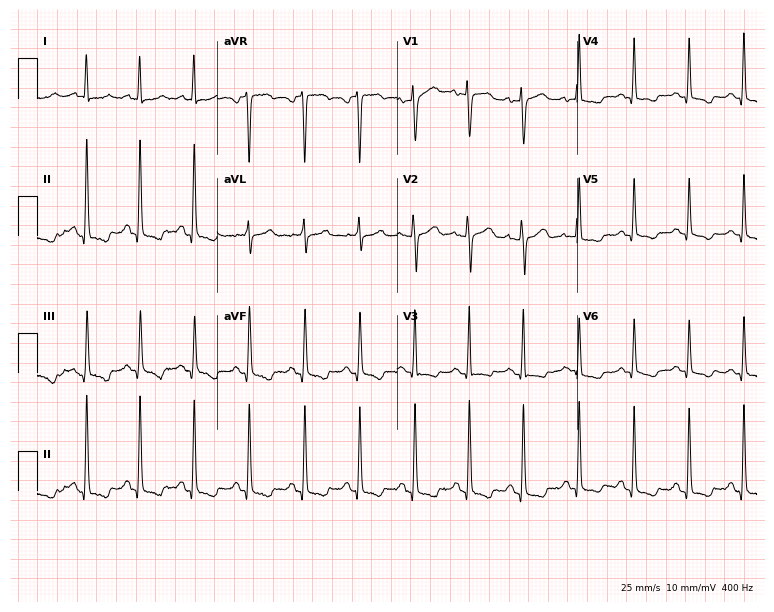
ECG (7.3-second recording at 400 Hz) — a female patient, 54 years old. Findings include sinus tachycardia (a sinus rate of 100 beats per minute or more).